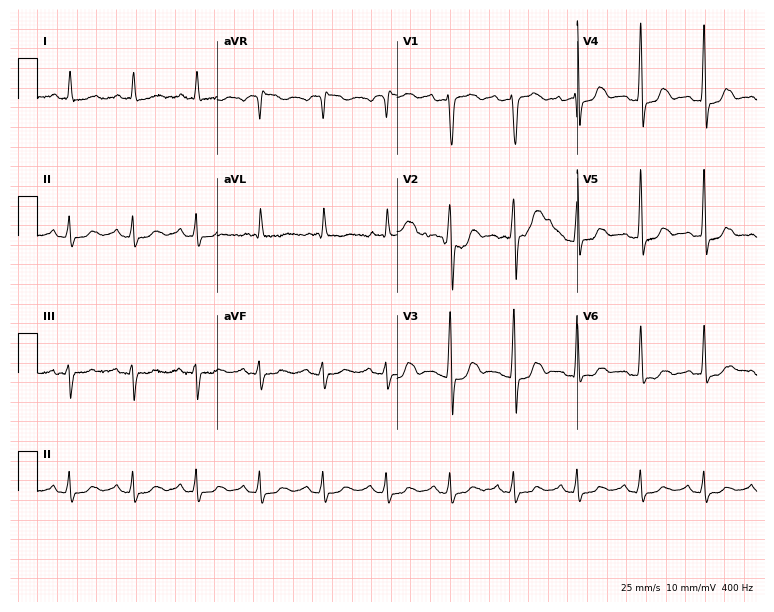
ECG (7.3-second recording at 400 Hz) — a 54-year-old woman. Labelled as a normal ECG.